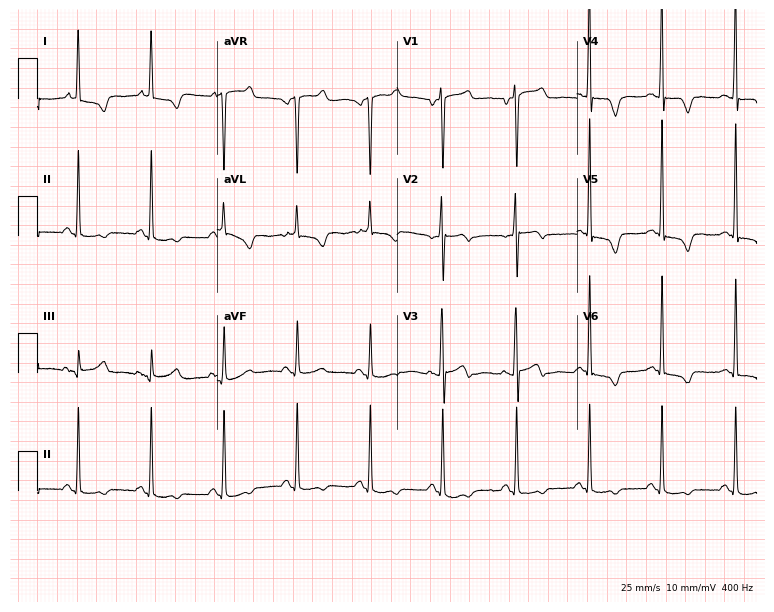
Electrocardiogram (7.3-second recording at 400 Hz), a male, 66 years old. Of the six screened findings (first-degree AV block, right bundle branch block (RBBB), left bundle branch block (LBBB), sinus bradycardia, atrial fibrillation (AF), sinus tachycardia), none is recorded.